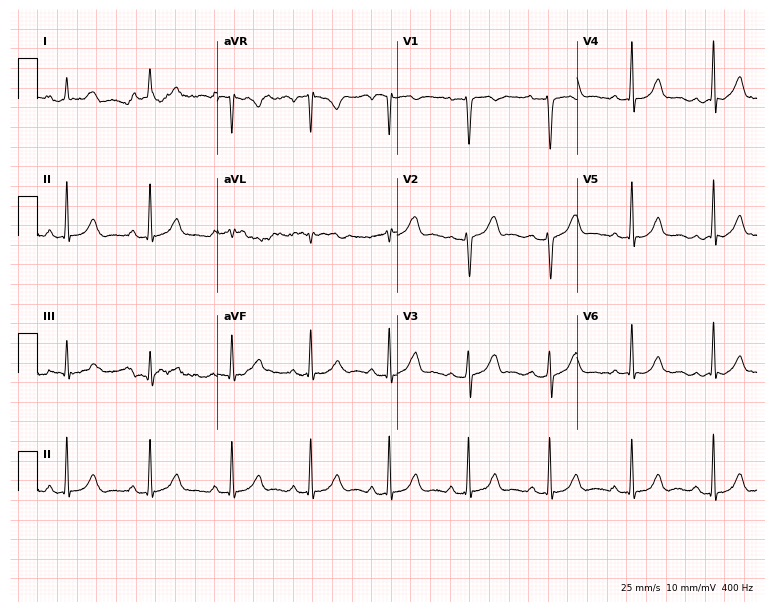
12-lead ECG from a woman, 33 years old (7.3-second recording at 400 Hz). Recorded interpretation: within normal limits.